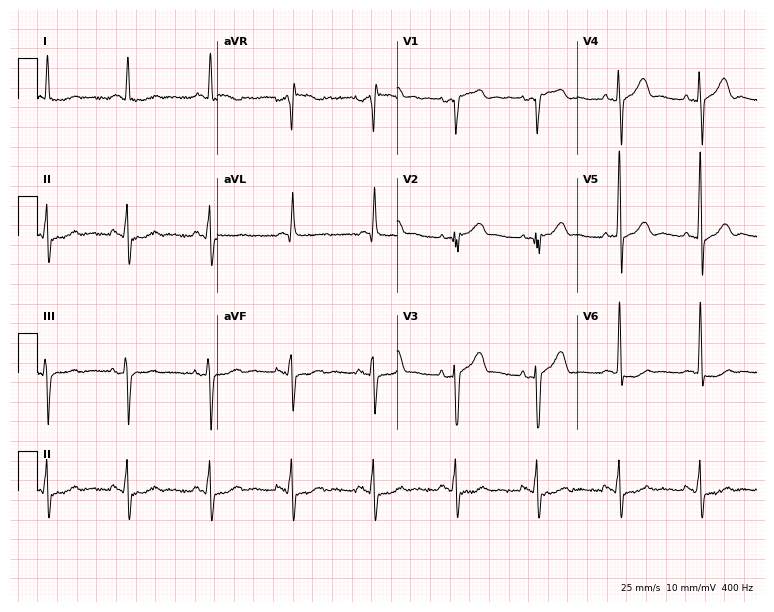
ECG (7.3-second recording at 400 Hz) — a 44-year-old male. Screened for six findings — first-degree AV block, right bundle branch block (RBBB), left bundle branch block (LBBB), sinus bradycardia, atrial fibrillation (AF), sinus tachycardia — none is recorded. Findings outside these six are not listed.